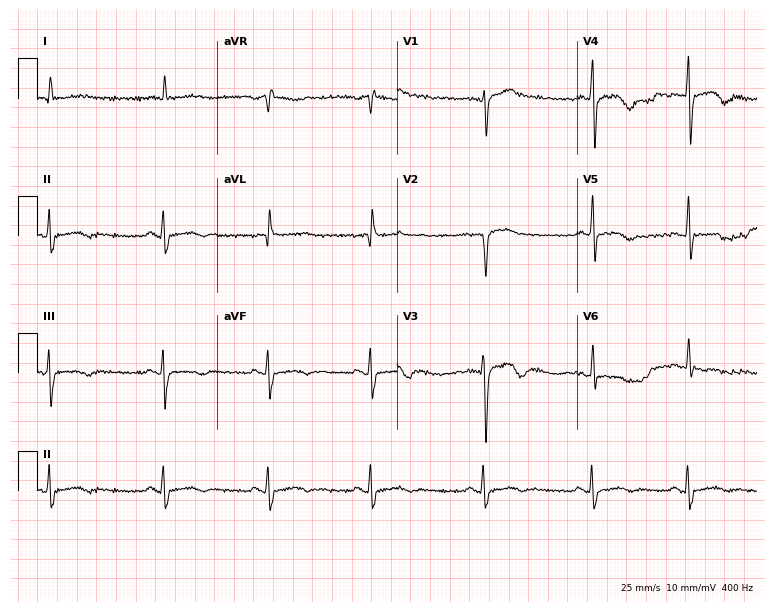
12-lead ECG (7.3-second recording at 400 Hz) from a male, 26 years old. Screened for six findings — first-degree AV block, right bundle branch block, left bundle branch block, sinus bradycardia, atrial fibrillation, sinus tachycardia — none is recorded. Other findings, if any, are not listed.